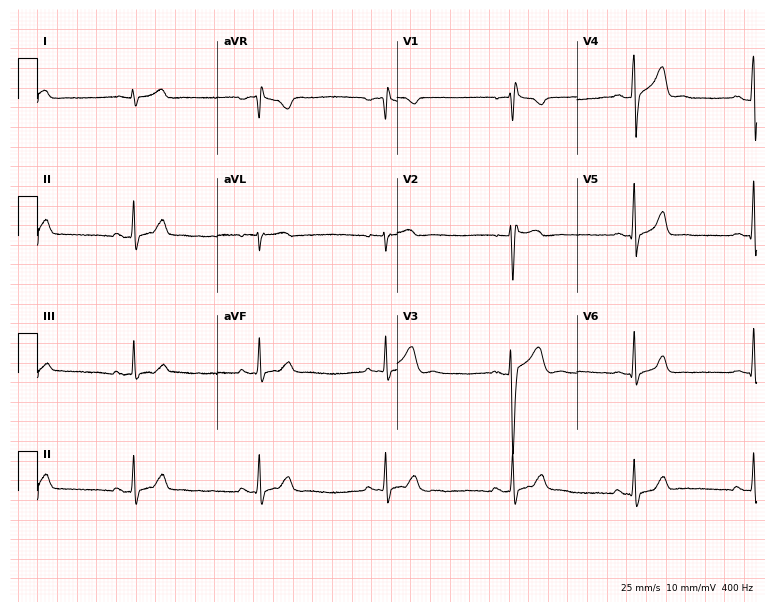
ECG (7.3-second recording at 400 Hz) — a male, 23 years old. Findings include sinus bradycardia (a sinus rate of 50 beats per minute or less).